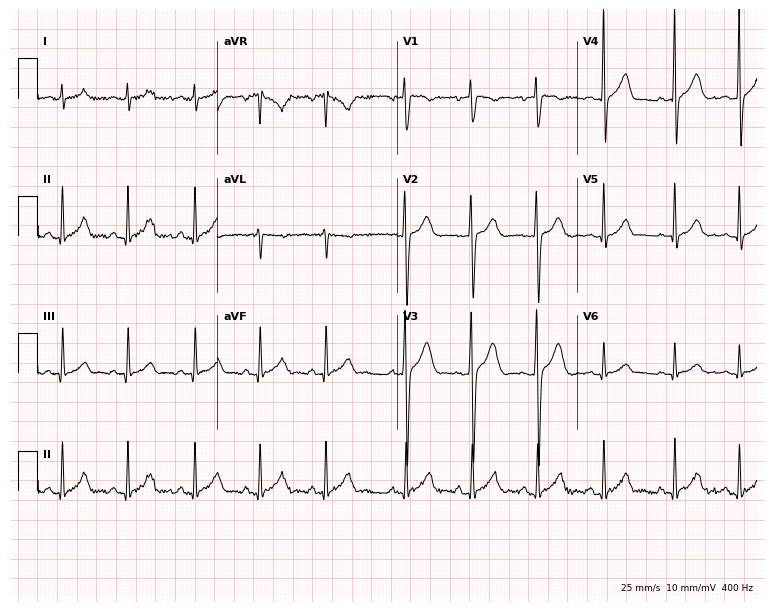
Standard 12-lead ECG recorded from a 21-year-old male (7.3-second recording at 400 Hz). Read as a normal ECG.